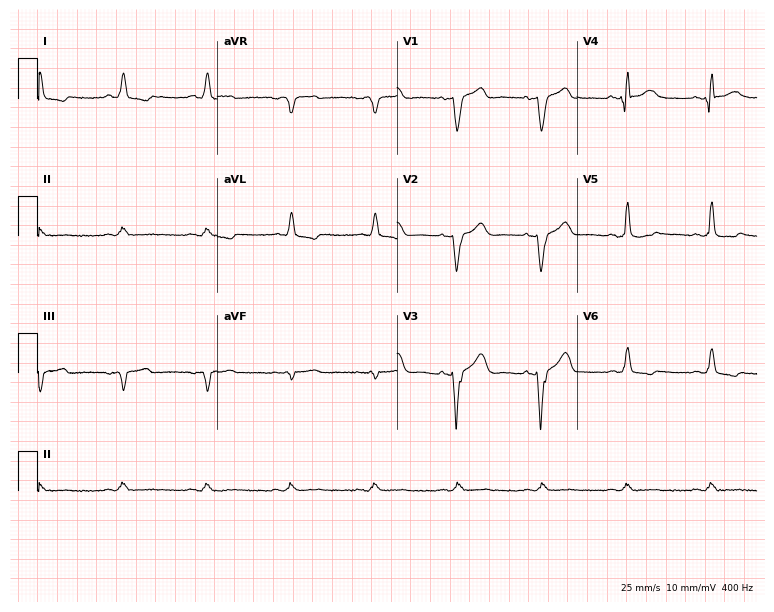
ECG (7.3-second recording at 400 Hz) — a man, 75 years old. Screened for six findings — first-degree AV block, right bundle branch block, left bundle branch block, sinus bradycardia, atrial fibrillation, sinus tachycardia — none is recorded.